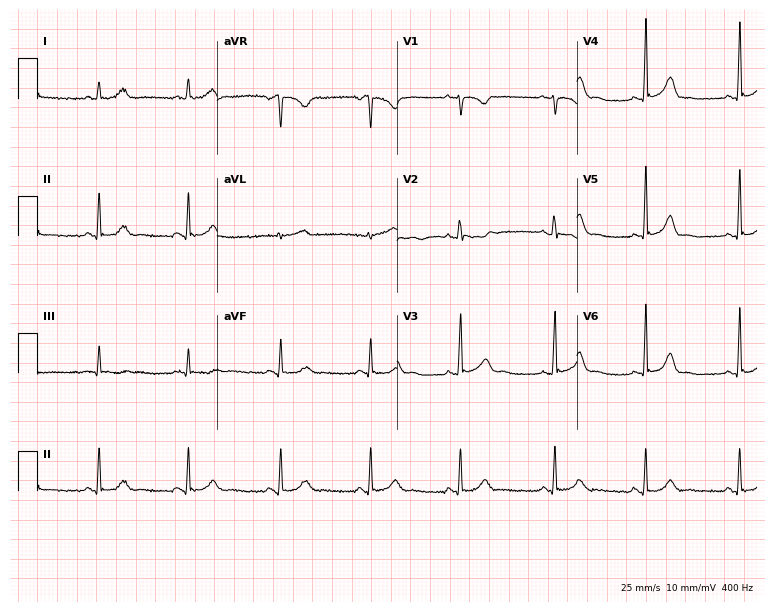
Electrocardiogram (7.3-second recording at 400 Hz), a 29-year-old female patient. Overall reading on record: normal ECG.